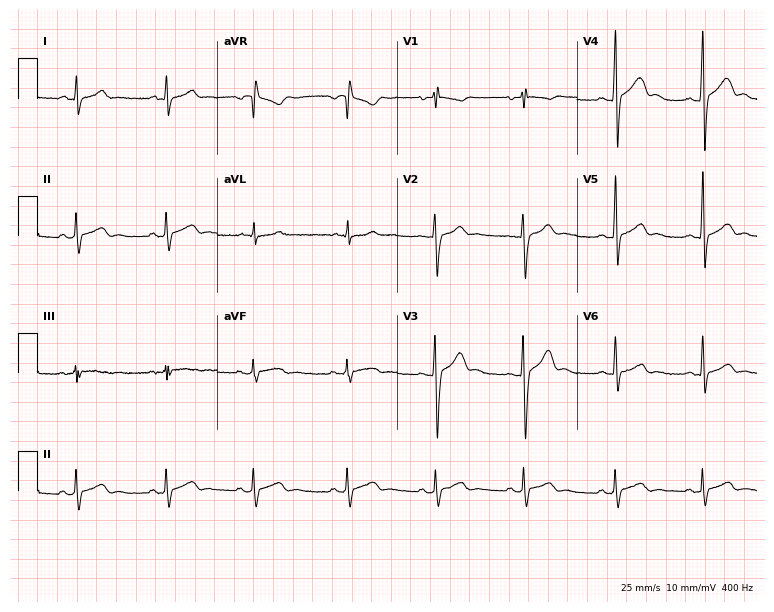
Resting 12-lead electrocardiogram (7.3-second recording at 400 Hz). Patient: a man, 28 years old. Read as a normal ECG.